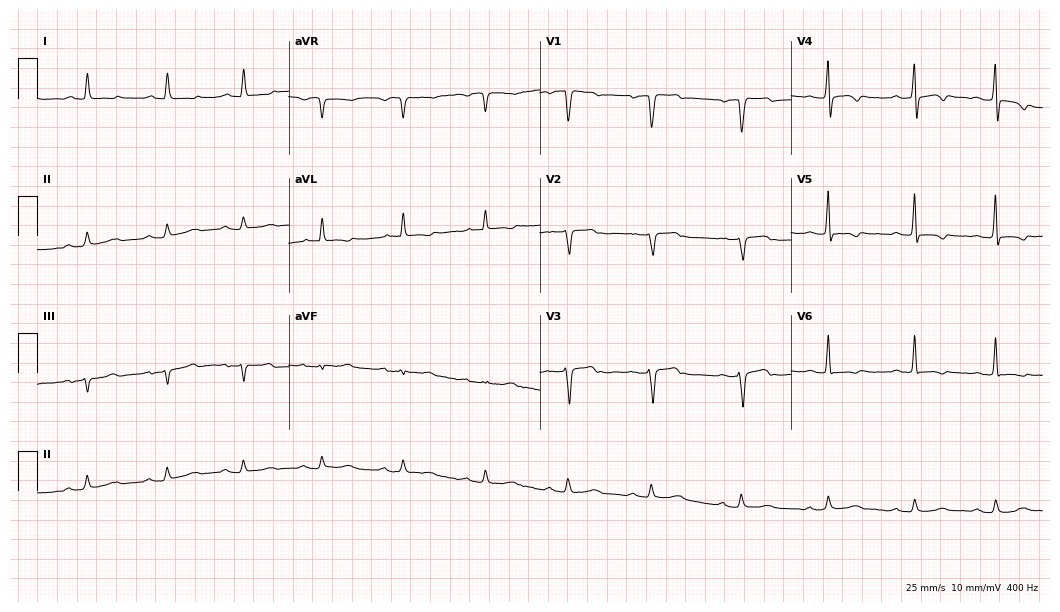
Resting 12-lead electrocardiogram (10.2-second recording at 400 Hz). Patient: a 60-year-old male. None of these six findings is recorded: first-degree AV block, right bundle branch block (RBBB), left bundle branch block (LBBB), sinus bradycardia, atrial fibrillation (AF), sinus tachycardia. Other findings, if any, are not listed.